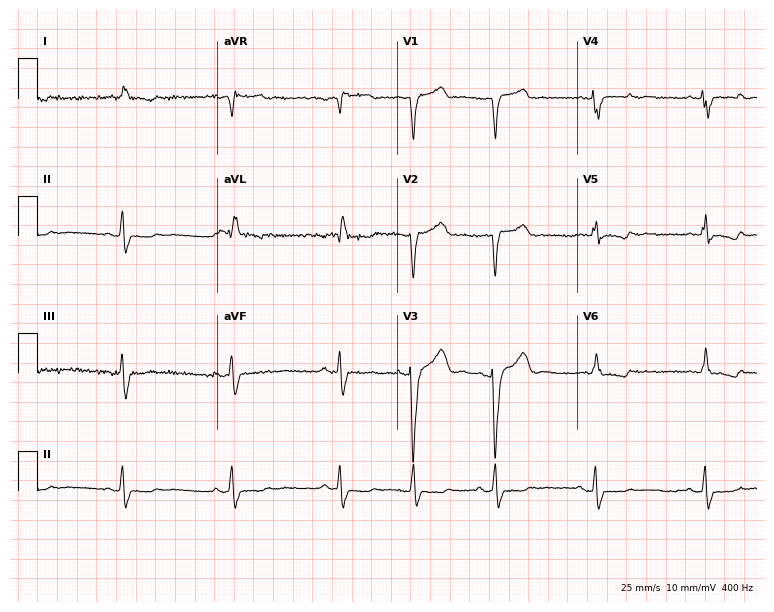
ECG (7.3-second recording at 400 Hz) — a man, 78 years old. Screened for six findings — first-degree AV block, right bundle branch block, left bundle branch block, sinus bradycardia, atrial fibrillation, sinus tachycardia — none is recorded.